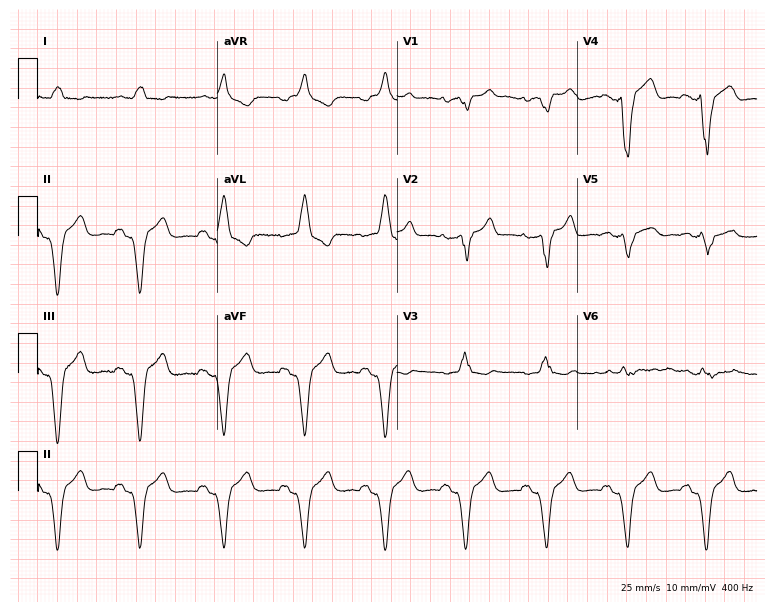
Electrocardiogram, a 50-year-old male. Of the six screened findings (first-degree AV block, right bundle branch block (RBBB), left bundle branch block (LBBB), sinus bradycardia, atrial fibrillation (AF), sinus tachycardia), none is recorded.